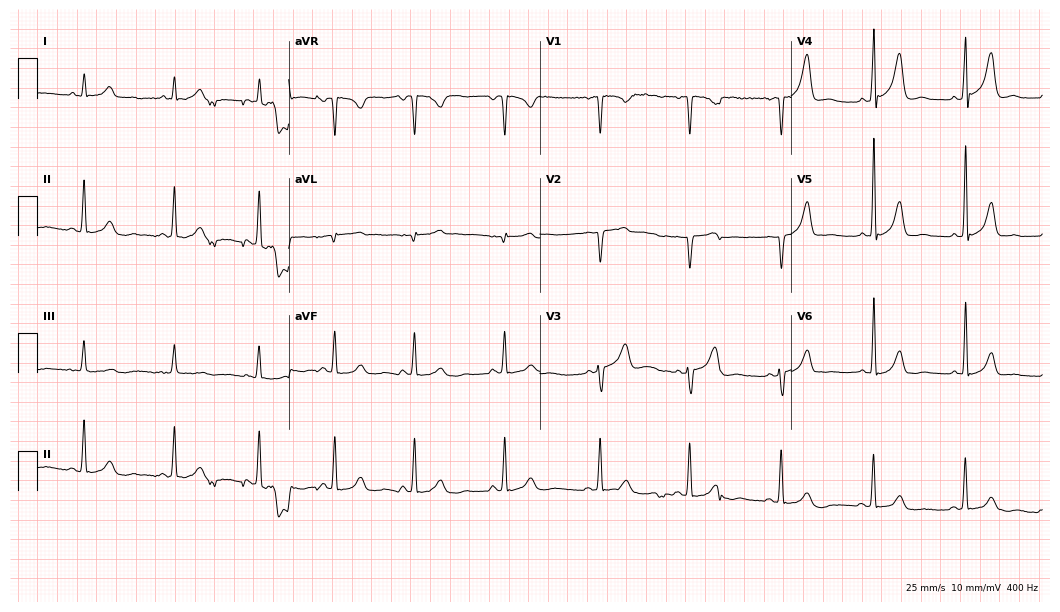
12-lead ECG from a 32-year-old woman (10.2-second recording at 400 Hz). No first-degree AV block, right bundle branch block (RBBB), left bundle branch block (LBBB), sinus bradycardia, atrial fibrillation (AF) or sinus tachycardia recorded for this tracing.